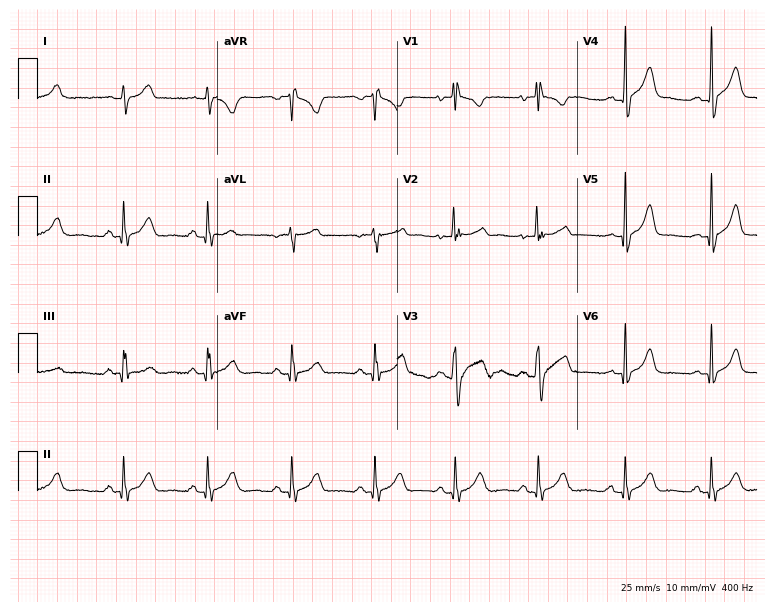
Resting 12-lead electrocardiogram (7.3-second recording at 400 Hz). Patient: a 20-year-old male. None of these six findings is recorded: first-degree AV block, right bundle branch block, left bundle branch block, sinus bradycardia, atrial fibrillation, sinus tachycardia.